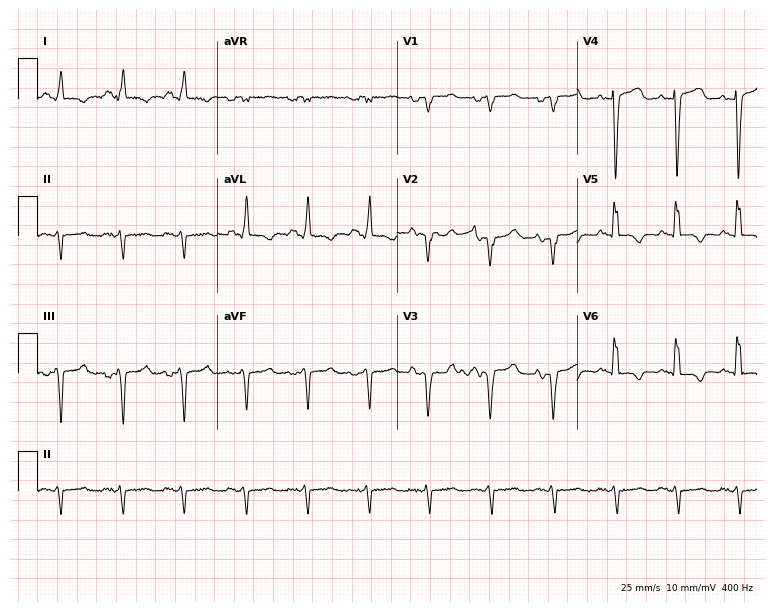
12-lead ECG (7.3-second recording at 400 Hz) from a male patient, 58 years old. Screened for six findings — first-degree AV block, right bundle branch block, left bundle branch block, sinus bradycardia, atrial fibrillation, sinus tachycardia — none is recorded.